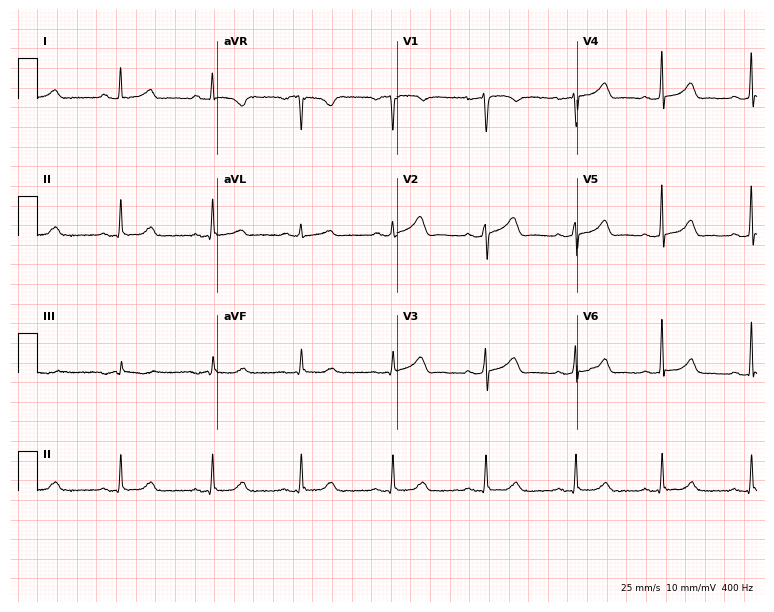
Resting 12-lead electrocardiogram. Patient: a 42-year-old female. Read as a normal ECG.